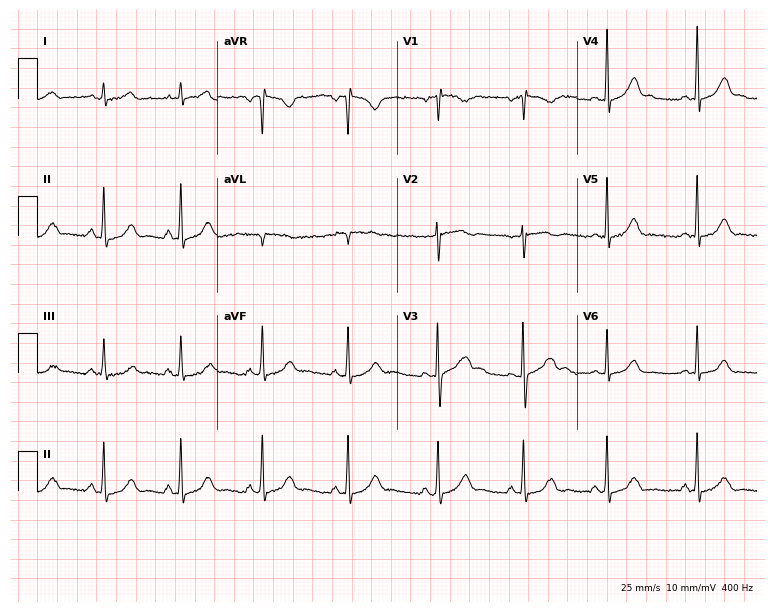
Electrocardiogram (7.3-second recording at 400 Hz), a female patient, 26 years old. Of the six screened findings (first-degree AV block, right bundle branch block (RBBB), left bundle branch block (LBBB), sinus bradycardia, atrial fibrillation (AF), sinus tachycardia), none is recorded. Findings outside these six are not listed.